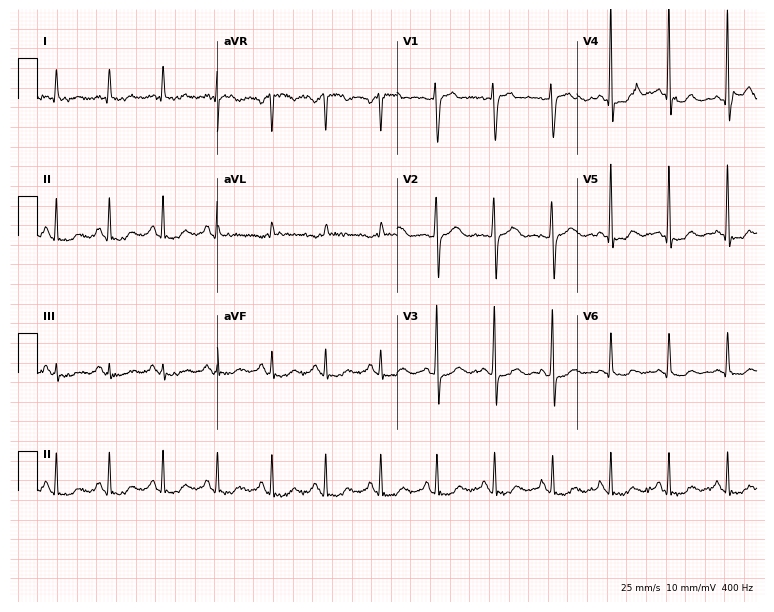
12-lead ECG from a woman, 58 years old. Findings include sinus tachycardia (a sinus rate of 100 beats per minute or more).